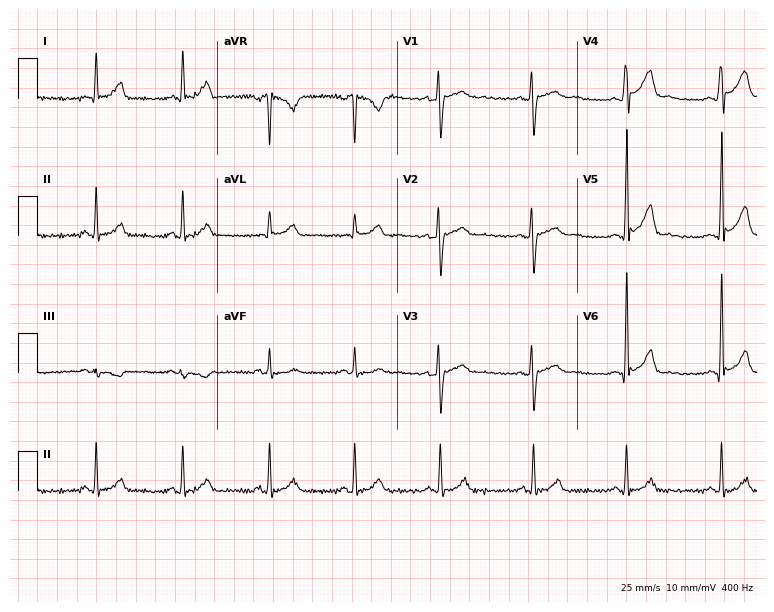
12-lead ECG (7.3-second recording at 400 Hz) from a man, 42 years old. Labelled as a normal ECG.